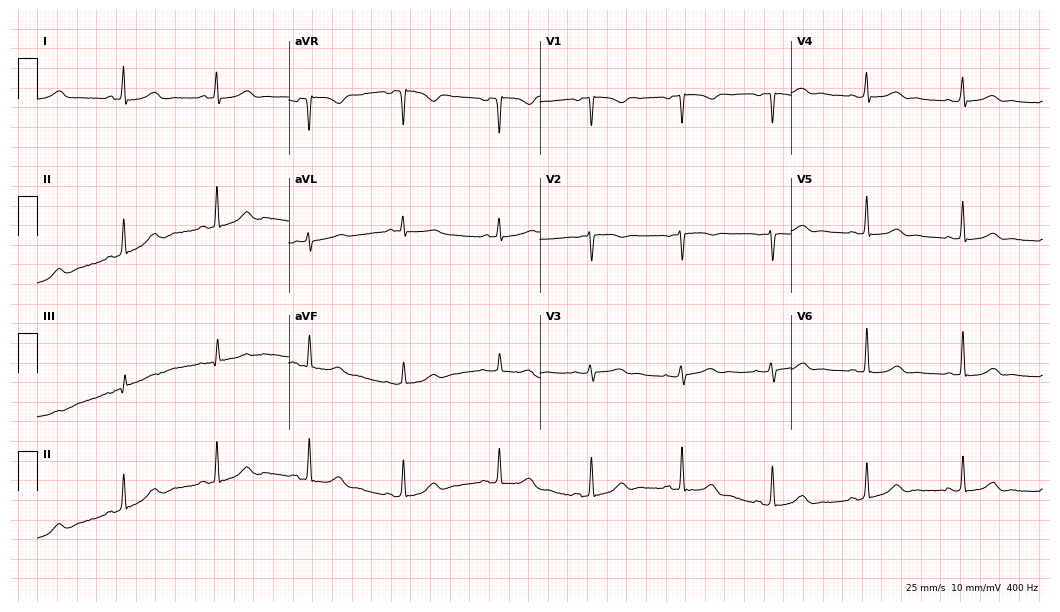
Standard 12-lead ECG recorded from a female patient, 53 years old. None of these six findings is recorded: first-degree AV block, right bundle branch block, left bundle branch block, sinus bradycardia, atrial fibrillation, sinus tachycardia.